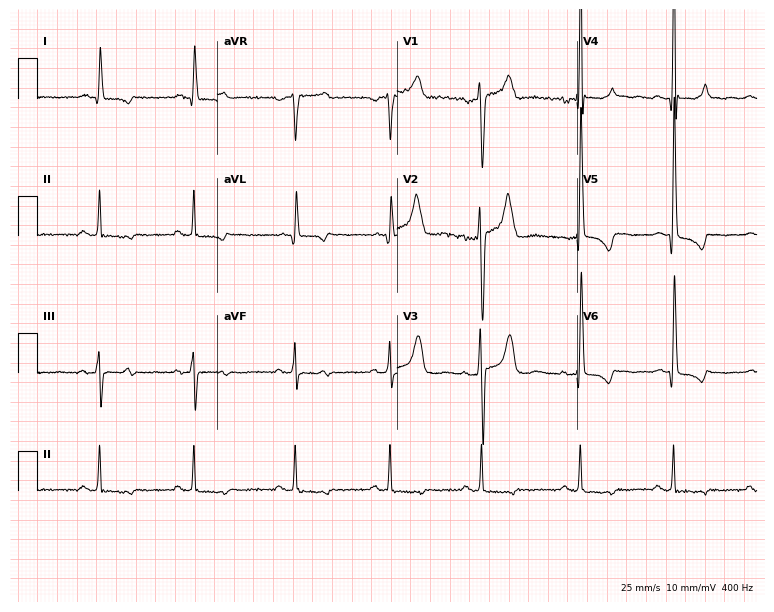
Resting 12-lead electrocardiogram. Patient: a male, 31 years old. None of these six findings is recorded: first-degree AV block, right bundle branch block, left bundle branch block, sinus bradycardia, atrial fibrillation, sinus tachycardia.